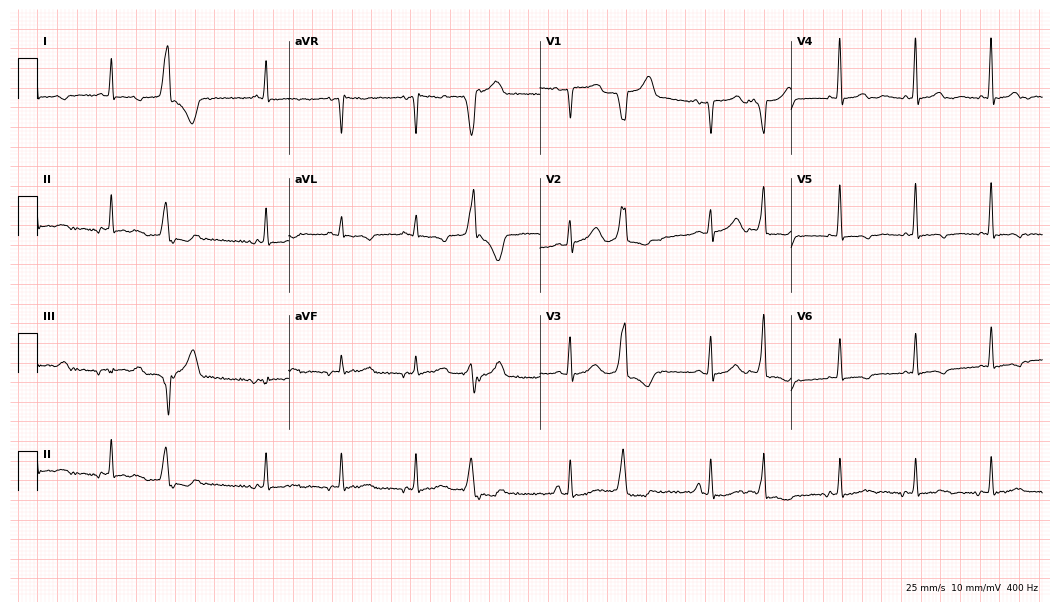
Resting 12-lead electrocardiogram (10.2-second recording at 400 Hz). Patient: a 47-year-old female. None of these six findings is recorded: first-degree AV block, right bundle branch block, left bundle branch block, sinus bradycardia, atrial fibrillation, sinus tachycardia. Findings outside these six are not listed.